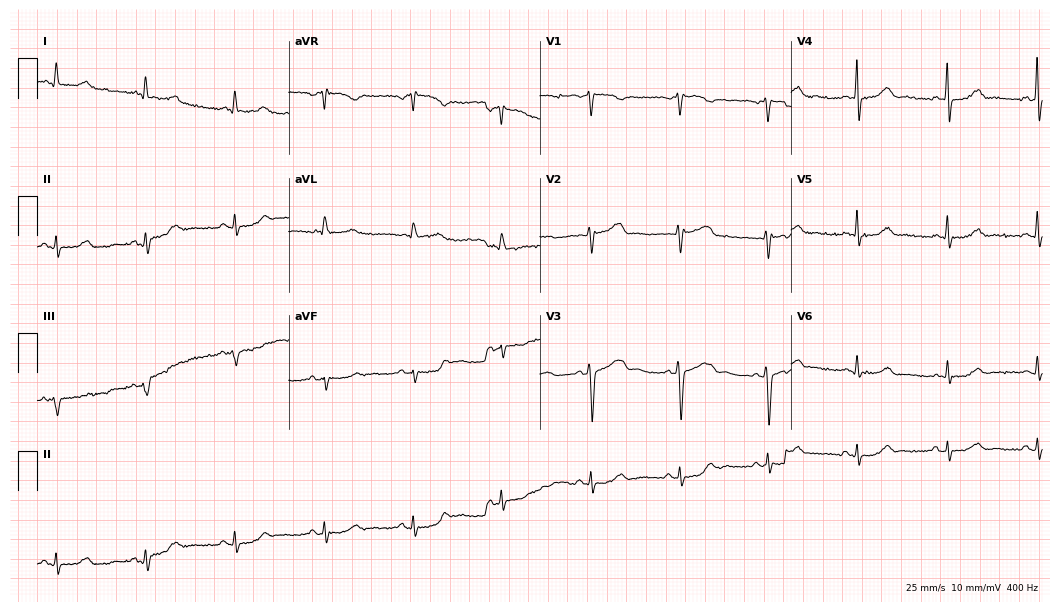
Electrocardiogram, a 46-year-old woman. Overall reading on record: normal ECG.